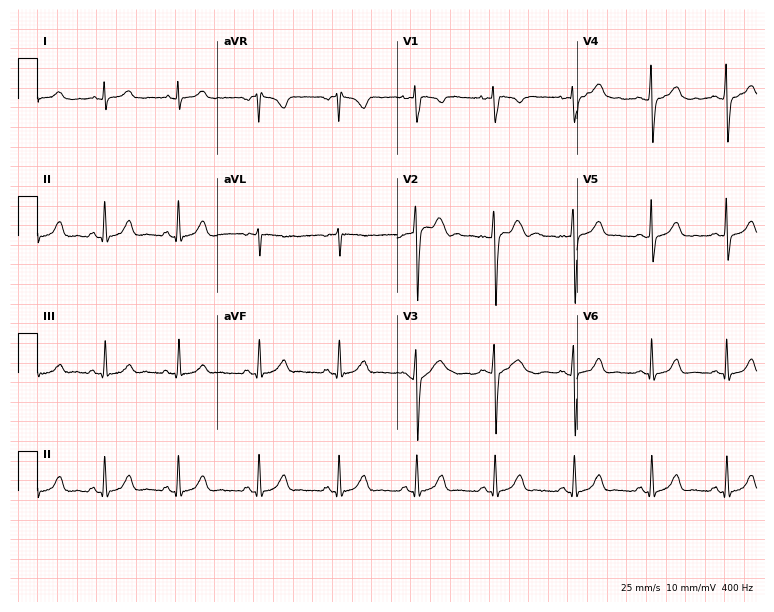
Standard 12-lead ECG recorded from a 20-year-old woman. Read as a normal ECG.